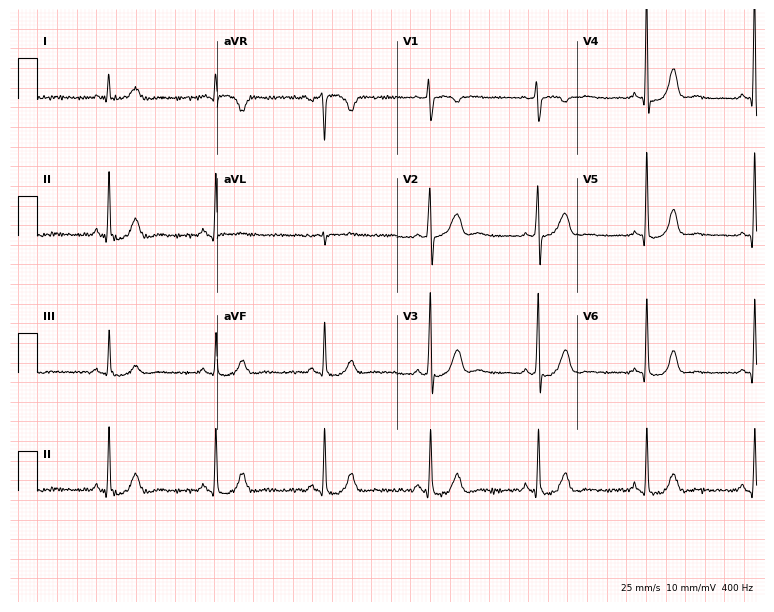
Electrocardiogram, a woman, 50 years old. Of the six screened findings (first-degree AV block, right bundle branch block (RBBB), left bundle branch block (LBBB), sinus bradycardia, atrial fibrillation (AF), sinus tachycardia), none is recorded. Findings outside these six are not listed.